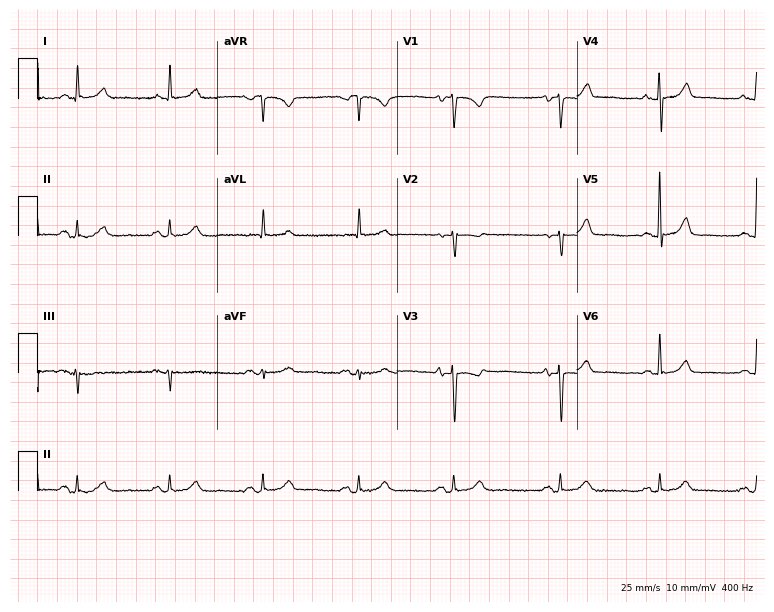
12-lead ECG from a 79-year-old female patient. Labelled as a normal ECG.